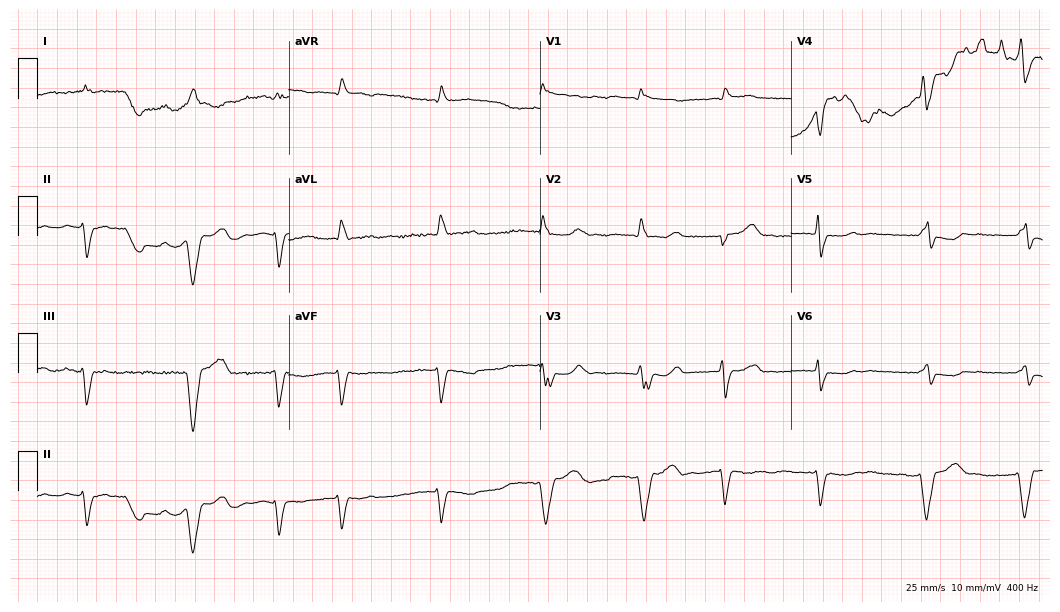
Resting 12-lead electrocardiogram. Patient: an 83-year-old male. The tracing shows right bundle branch block (RBBB), atrial fibrillation (AF).